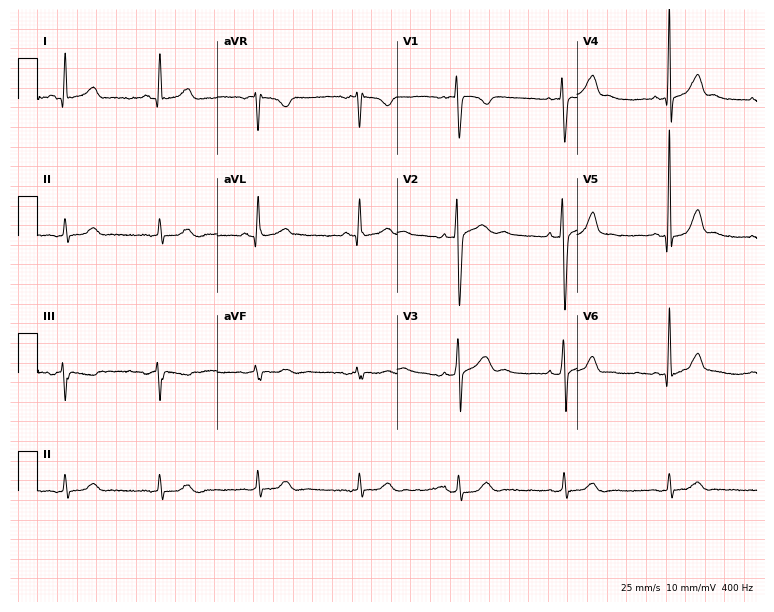
Resting 12-lead electrocardiogram (7.3-second recording at 400 Hz). Patient: a male, 33 years old. None of these six findings is recorded: first-degree AV block, right bundle branch block, left bundle branch block, sinus bradycardia, atrial fibrillation, sinus tachycardia.